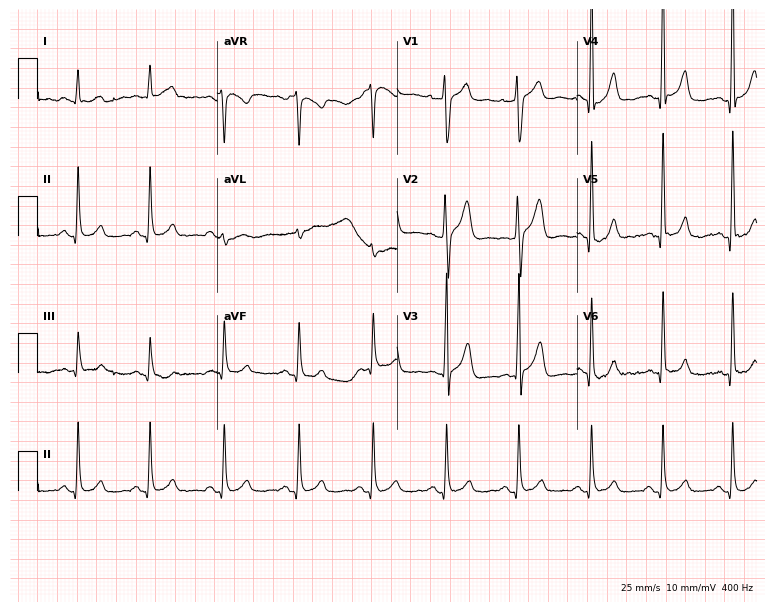
Resting 12-lead electrocardiogram (7.3-second recording at 400 Hz). Patient: a 38-year-old male. None of these six findings is recorded: first-degree AV block, right bundle branch block, left bundle branch block, sinus bradycardia, atrial fibrillation, sinus tachycardia. Other findings, if any, are not listed.